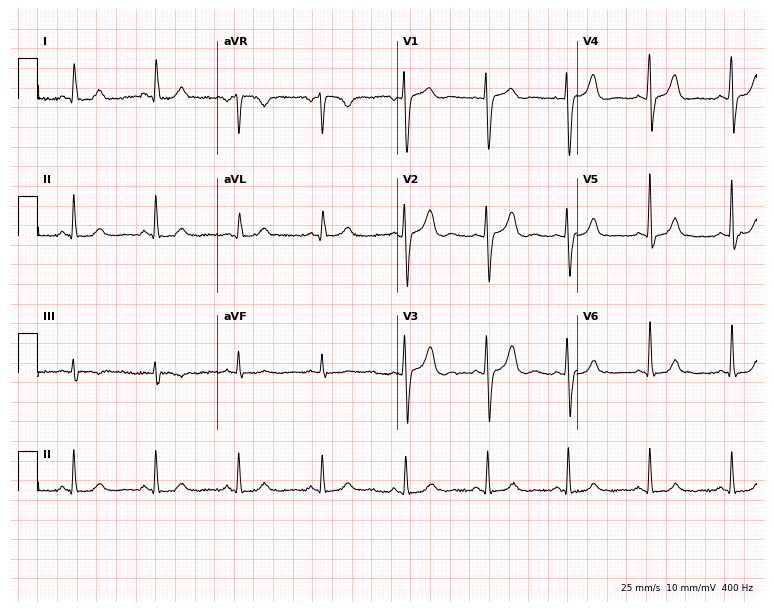
Standard 12-lead ECG recorded from a 48-year-old woman. Read as a normal ECG.